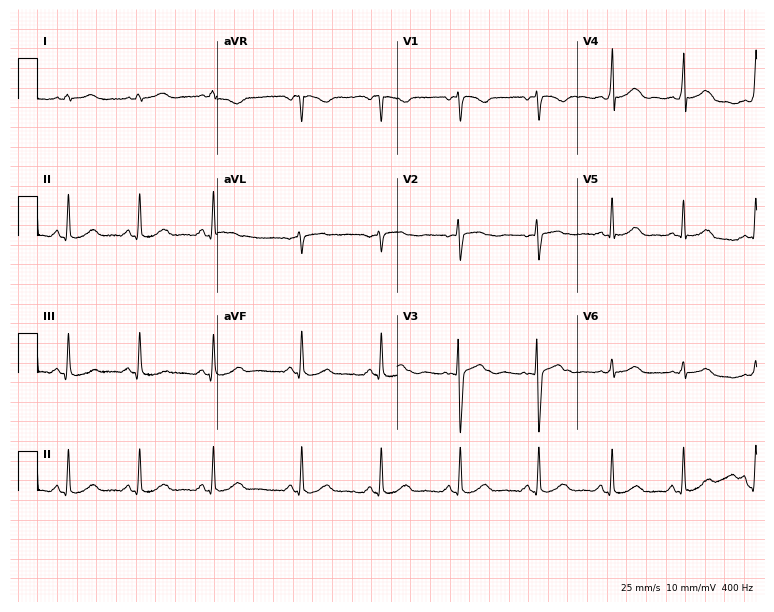
Electrocardiogram, a 32-year-old woman. Overall reading on record: normal ECG.